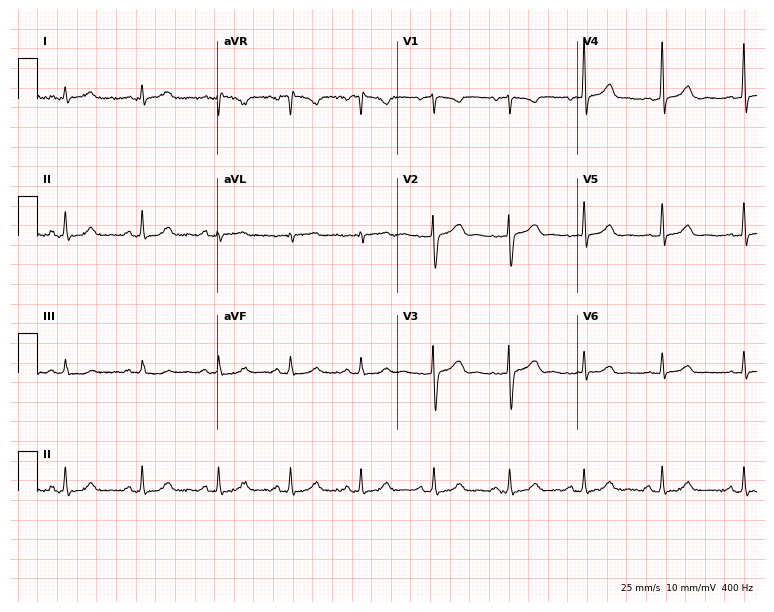
ECG — a 42-year-old female patient. Labelled as a normal ECG.